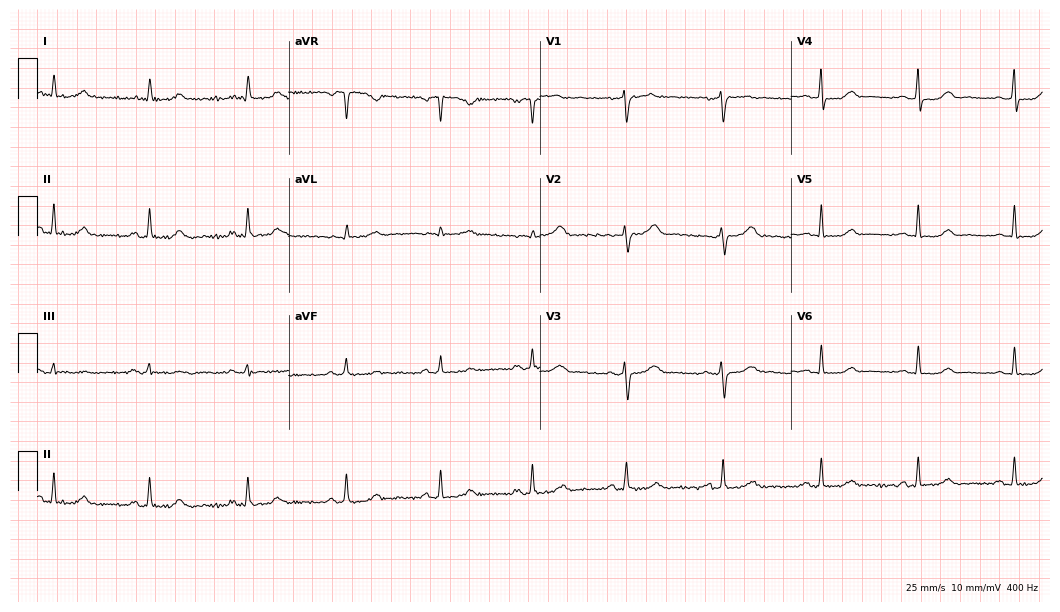
Electrocardiogram (10.2-second recording at 400 Hz), a woman, 53 years old. Overall reading on record: normal ECG.